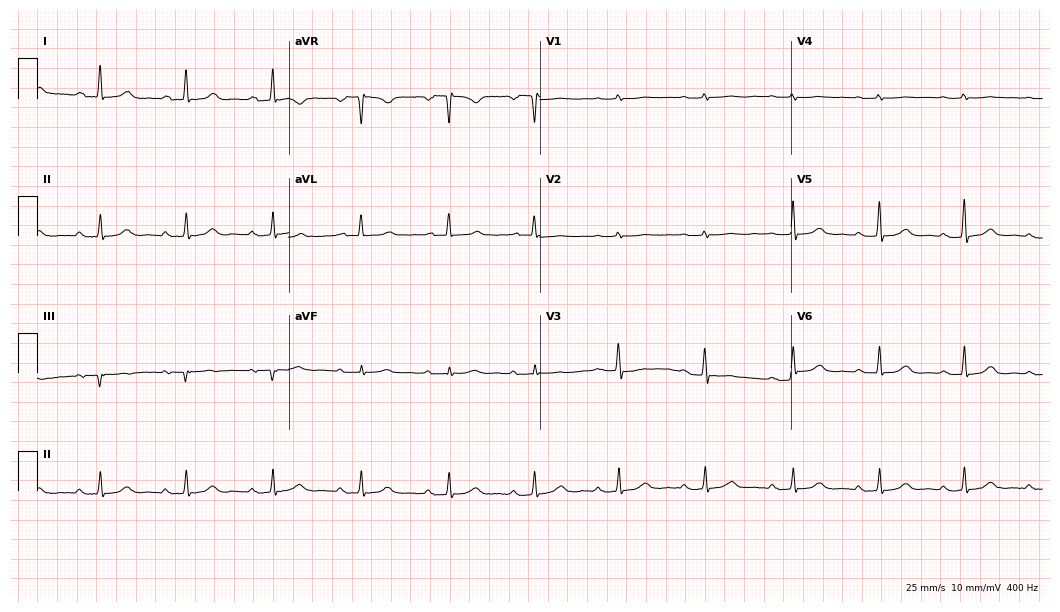
ECG — a 73-year-old female patient. Labelled as a normal ECG.